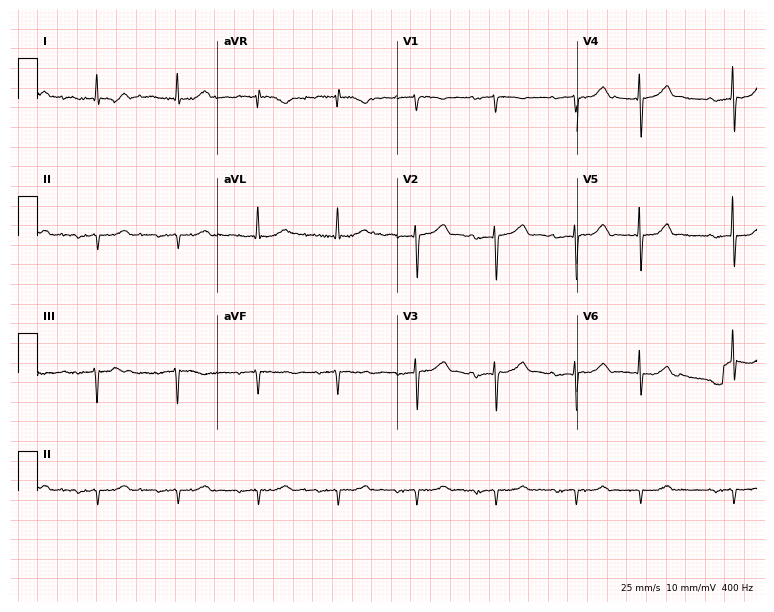
ECG (7.3-second recording at 400 Hz) — an 80-year-old male. Screened for six findings — first-degree AV block, right bundle branch block, left bundle branch block, sinus bradycardia, atrial fibrillation, sinus tachycardia — none is recorded. Other findings, if any, are not listed.